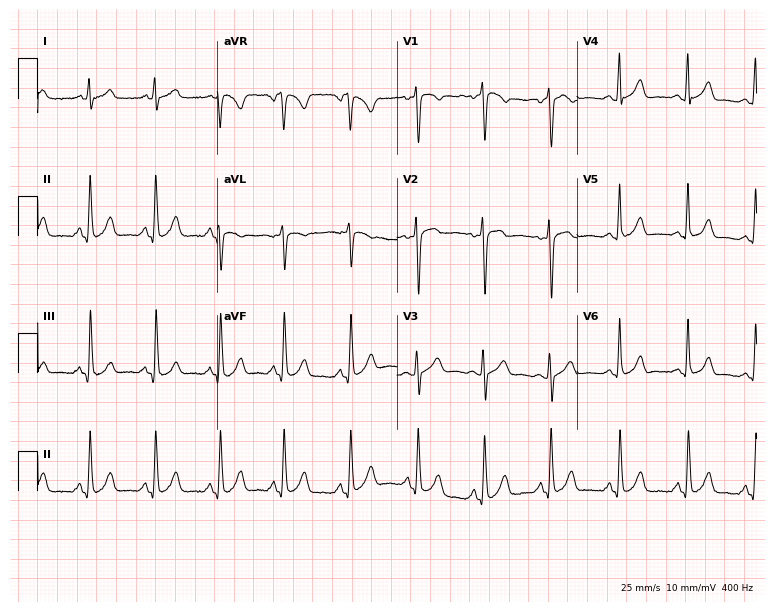
12-lead ECG from a woman, 33 years old. Recorded interpretation: within normal limits.